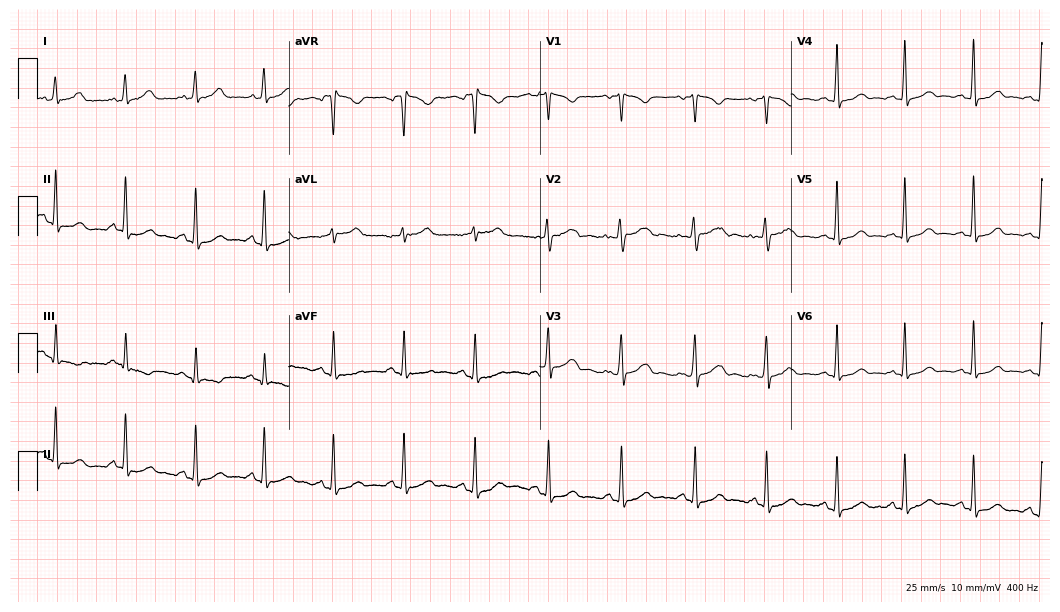
Standard 12-lead ECG recorded from a female patient, 40 years old (10.2-second recording at 400 Hz). Read as a normal ECG.